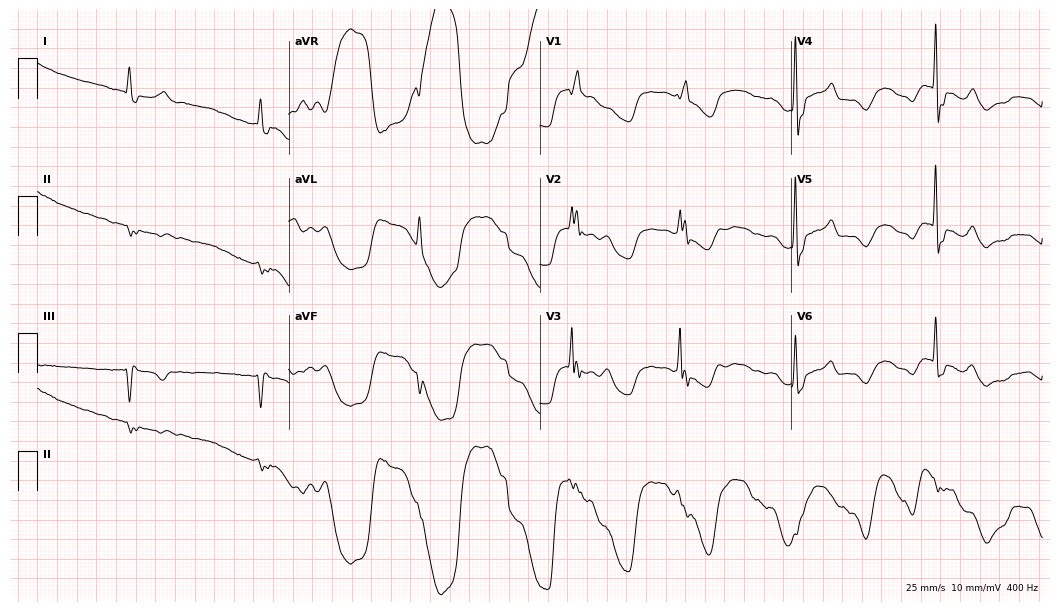
Standard 12-lead ECG recorded from a male, 80 years old. None of these six findings is recorded: first-degree AV block, right bundle branch block, left bundle branch block, sinus bradycardia, atrial fibrillation, sinus tachycardia.